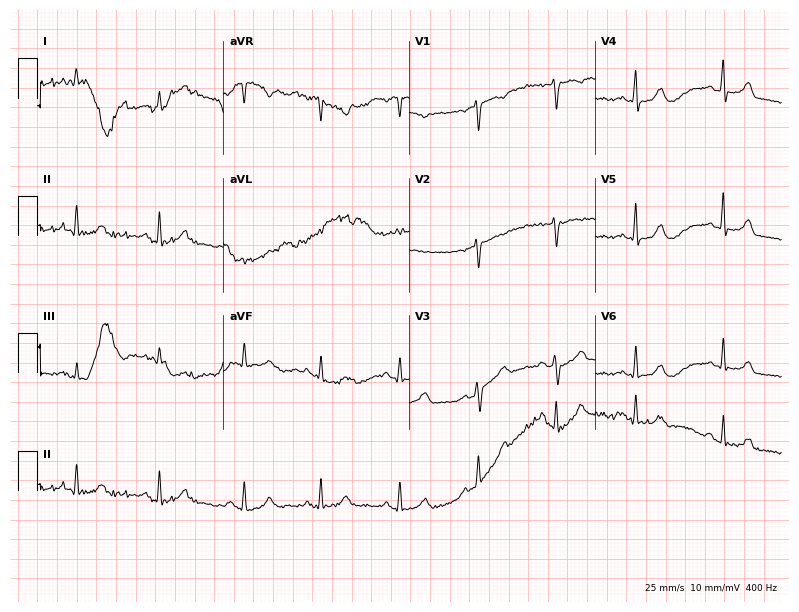
Standard 12-lead ECG recorded from a woman, 50 years old (7.6-second recording at 400 Hz). Read as a normal ECG.